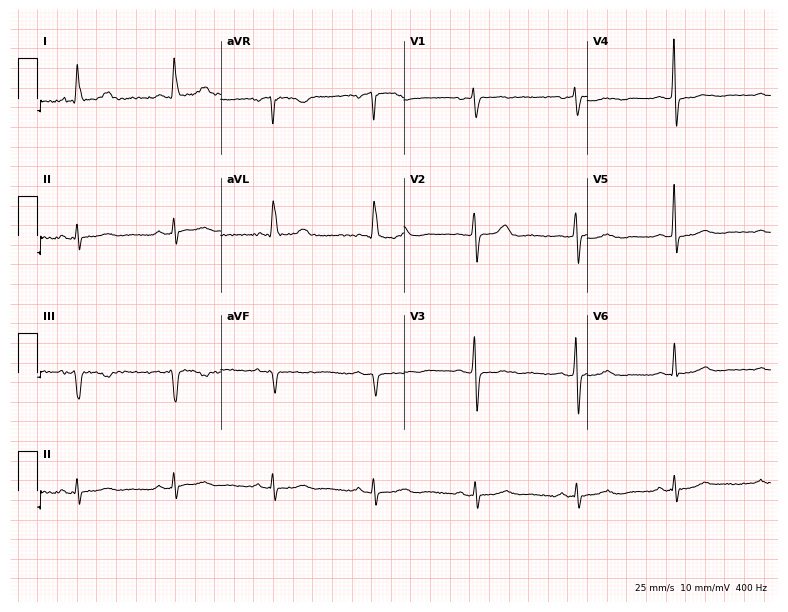
ECG (7.5-second recording at 400 Hz) — a female, 78 years old. Labelled as a normal ECG.